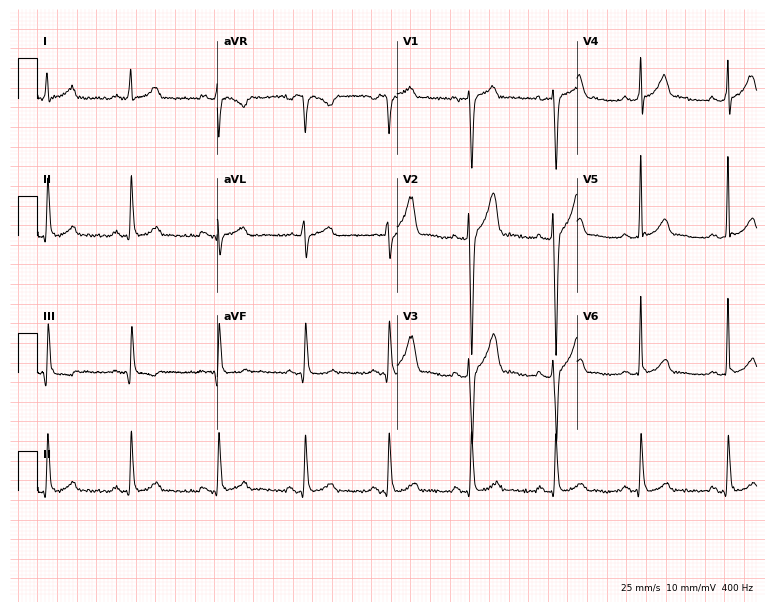
12-lead ECG from a male, 44 years old (7.3-second recording at 400 Hz). No first-degree AV block, right bundle branch block, left bundle branch block, sinus bradycardia, atrial fibrillation or sinus tachycardia recorded for this tracing. Other findings, if any, are not listed.